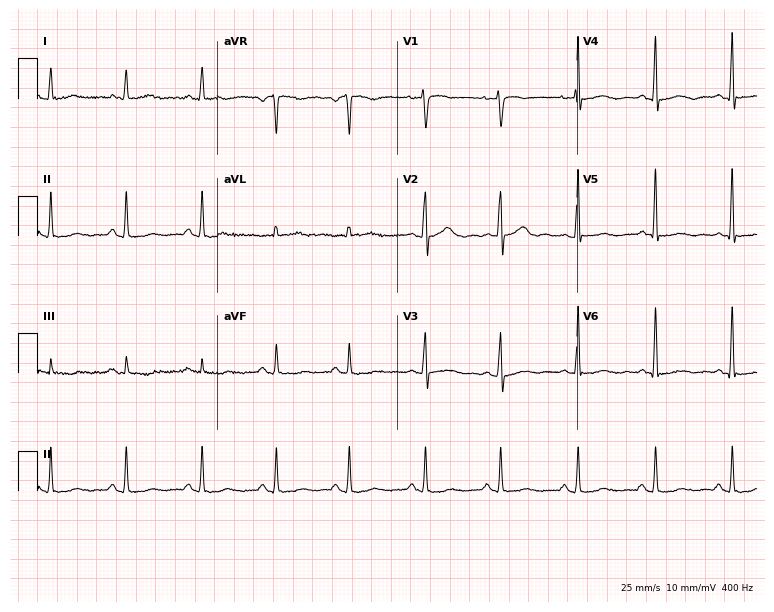
12-lead ECG from a woman, 56 years old (7.3-second recording at 400 Hz). No first-degree AV block, right bundle branch block, left bundle branch block, sinus bradycardia, atrial fibrillation or sinus tachycardia recorded for this tracing.